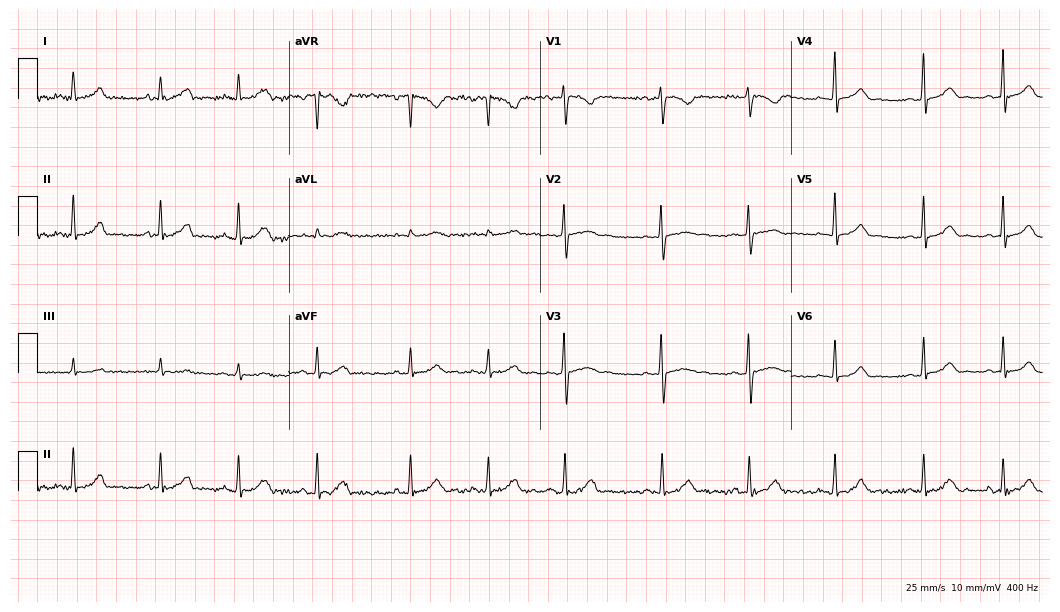
12-lead ECG (10.2-second recording at 400 Hz) from a female patient, 26 years old. Labelled as a normal ECG.